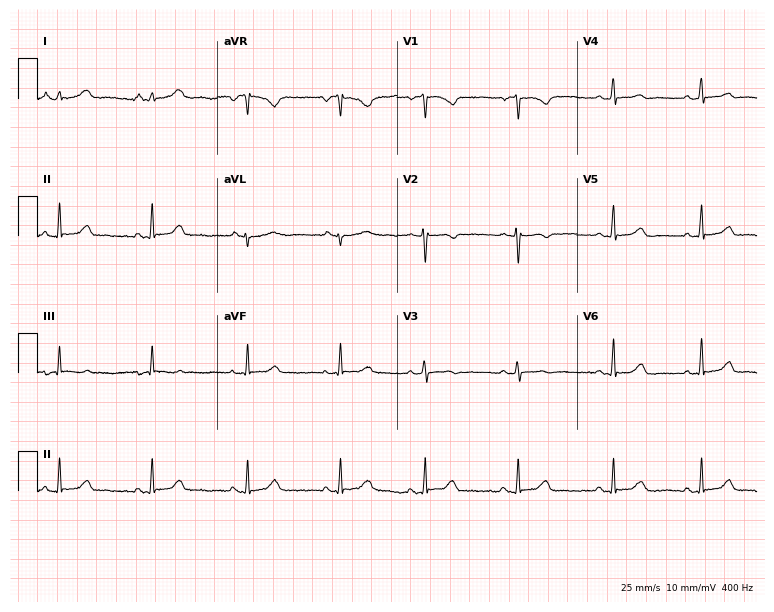
12-lead ECG from a female patient, 23 years old. No first-degree AV block, right bundle branch block, left bundle branch block, sinus bradycardia, atrial fibrillation or sinus tachycardia recorded for this tracing. Findings outside these six are not listed.